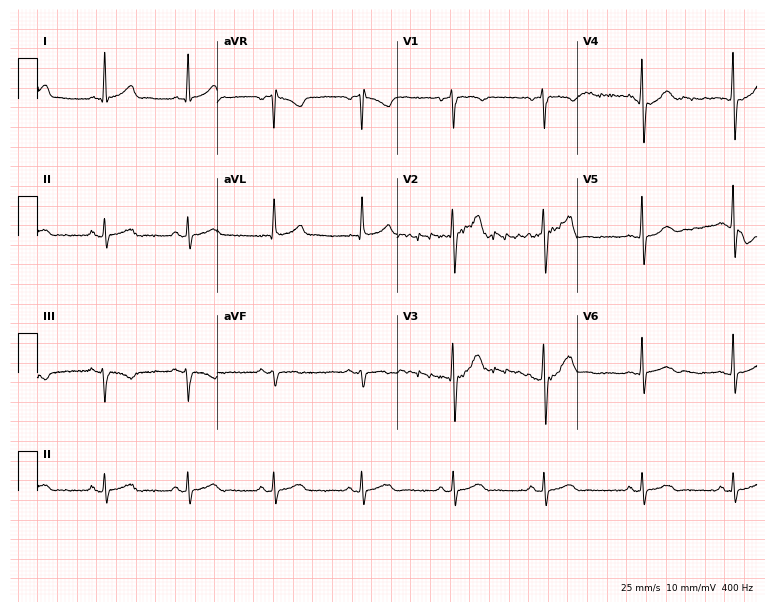
12-lead ECG (7.3-second recording at 400 Hz) from a 38-year-old male patient. Screened for six findings — first-degree AV block, right bundle branch block, left bundle branch block, sinus bradycardia, atrial fibrillation, sinus tachycardia — none is recorded.